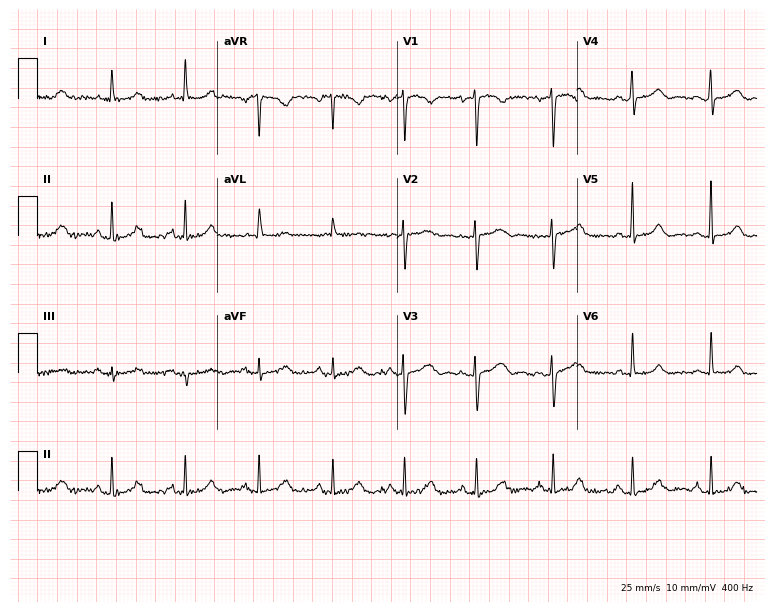
12-lead ECG from a female, 57 years old (7.3-second recording at 400 Hz). No first-degree AV block, right bundle branch block (RBBB), left bundle branch block (LBBB), sinus bradycardia, atrial fibrillation (AF) or sinus tachycardia recorded for this tracing.